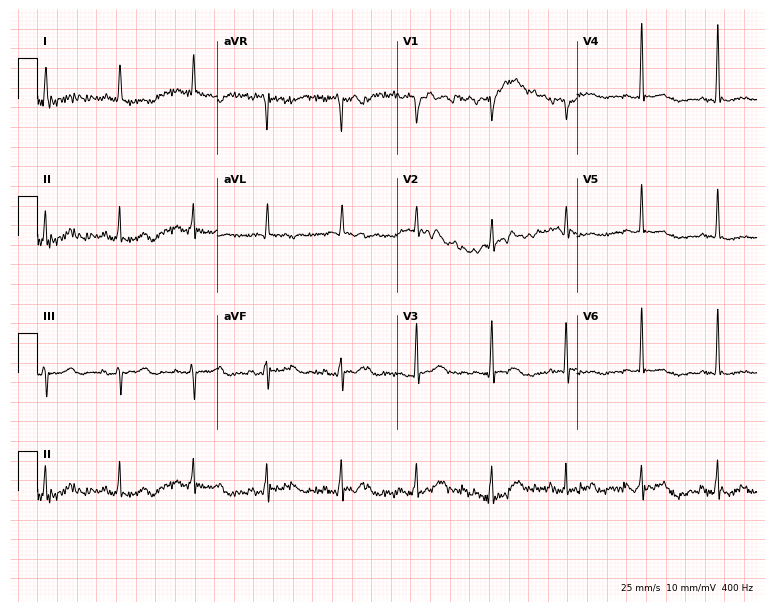
Electrocardiogram, an 80-year-old man. Of the six screened findings (first-degree AV block, right bundle branch block, left bundle branch block, sinus bradycardia, atrial fibrillation, sinus tachycardia), none is recorded. Other findings, if any, are not listed.